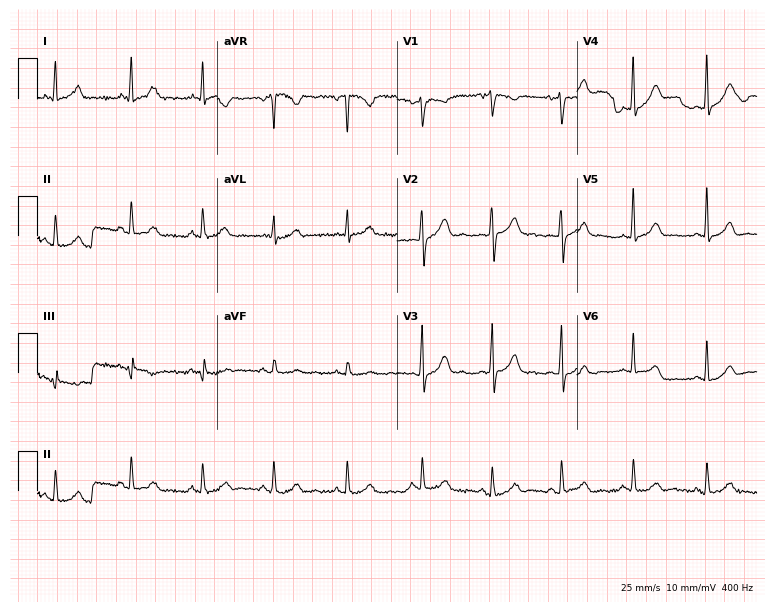
Electrocardiogram, a 32-year-old female patient. Overall reading on record: normal ECG.